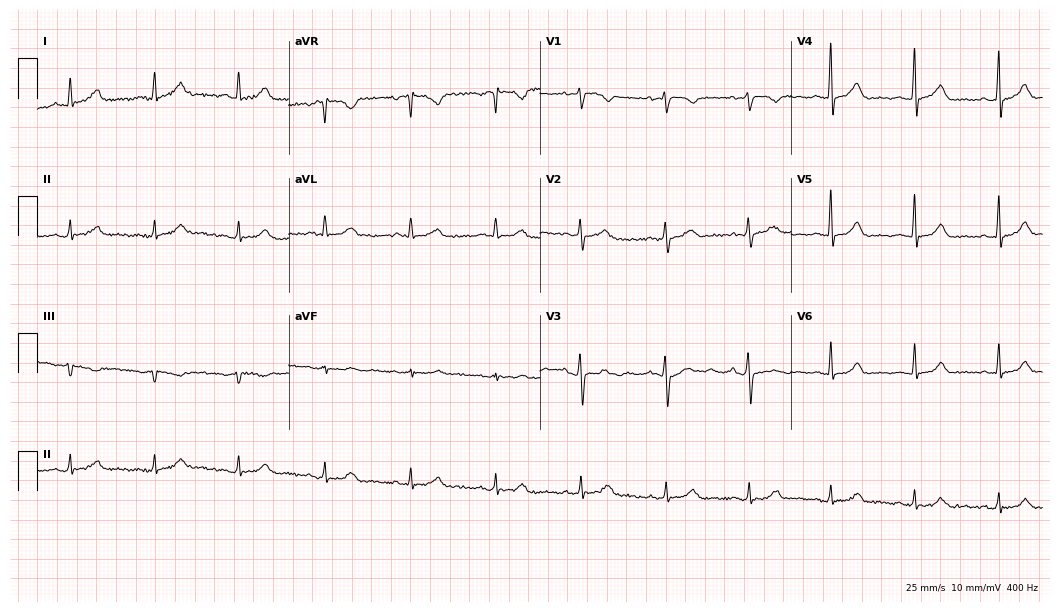
Standard 12-lead ECG recorded from a female, 45 years old. Read as a normal ECG.